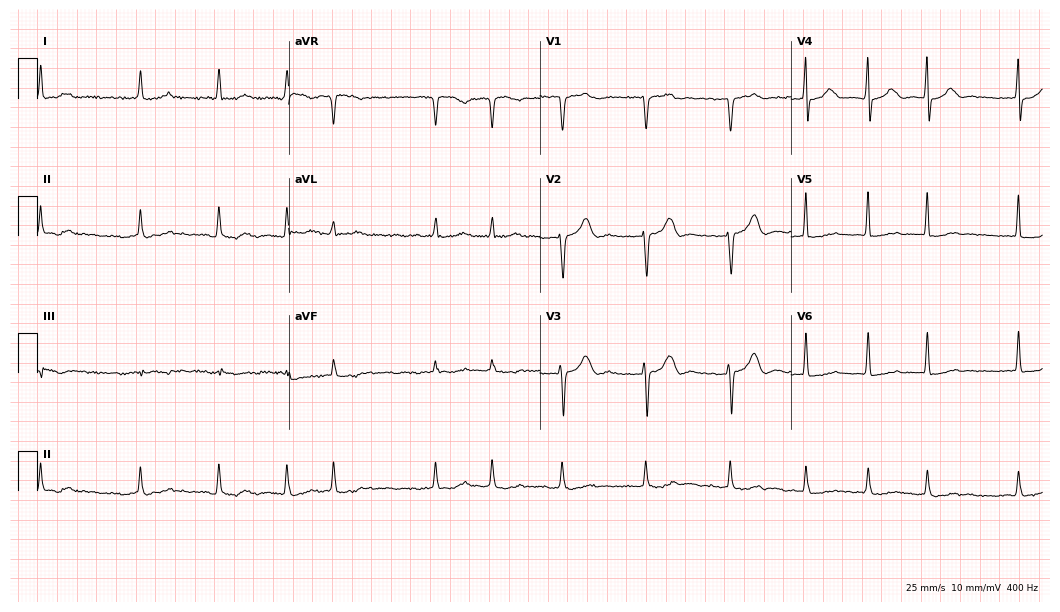
ECG — an 83-year-old woman. Findings include atrial fibrillation.